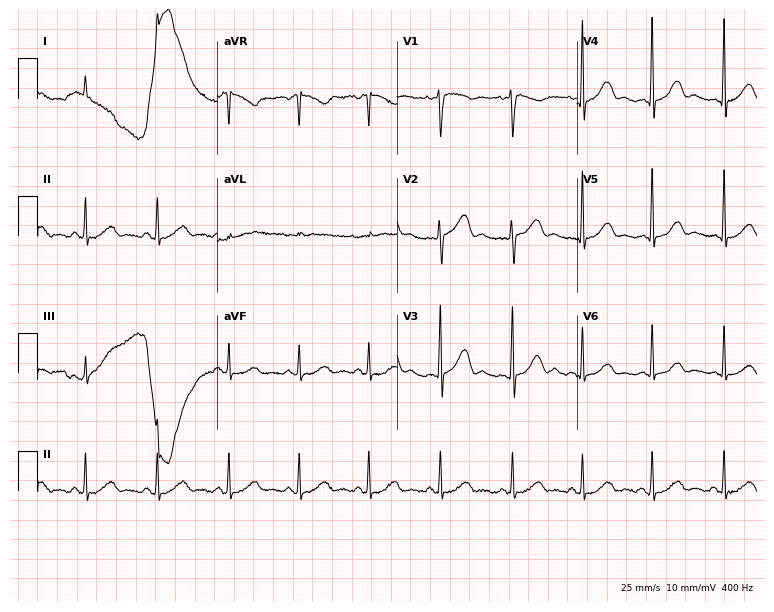
Standard 12-lead ECG recorded from a female patient, 54 years old (7.3-second recording at 400 Hz). None of these six findings is recorded: first-degree AV block, right bundle branch block, left bundle branch block, sinus bradycardia, atrial fibrillation, sinus tachycardia.